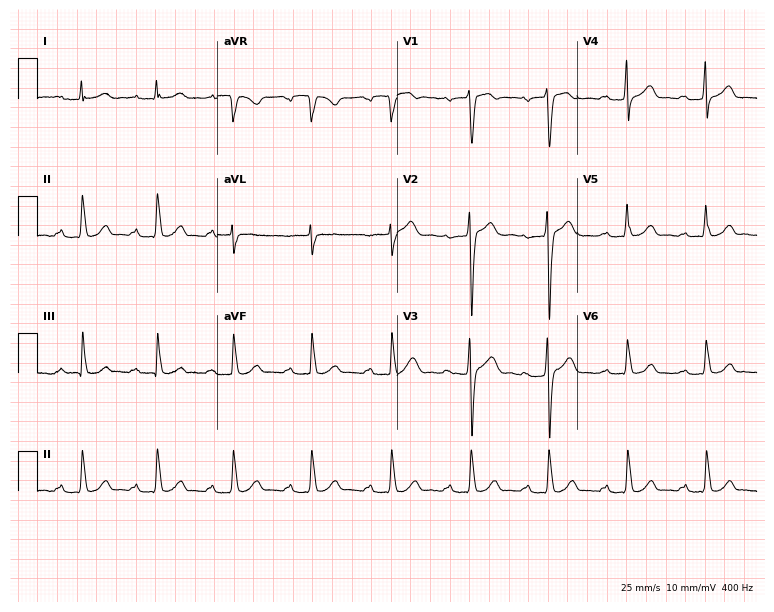
Resting 12-lead electrocardiogram. Patient: a male, 51 years old. The tracing shows first-degree AV block.